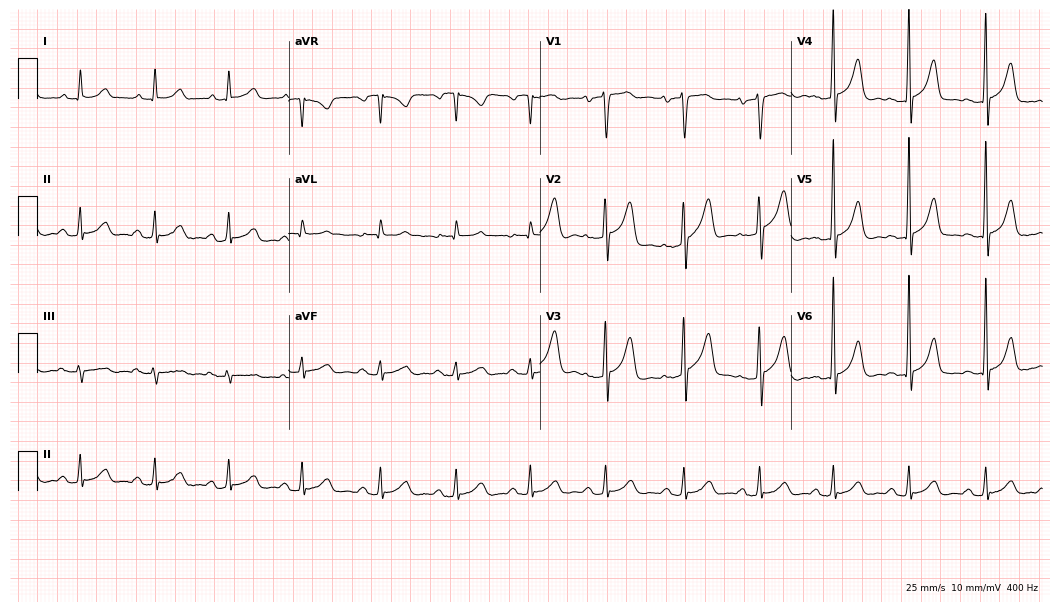
Electrocardiogram, a man, 60 years old. Interpretation includes first-degree AV block.